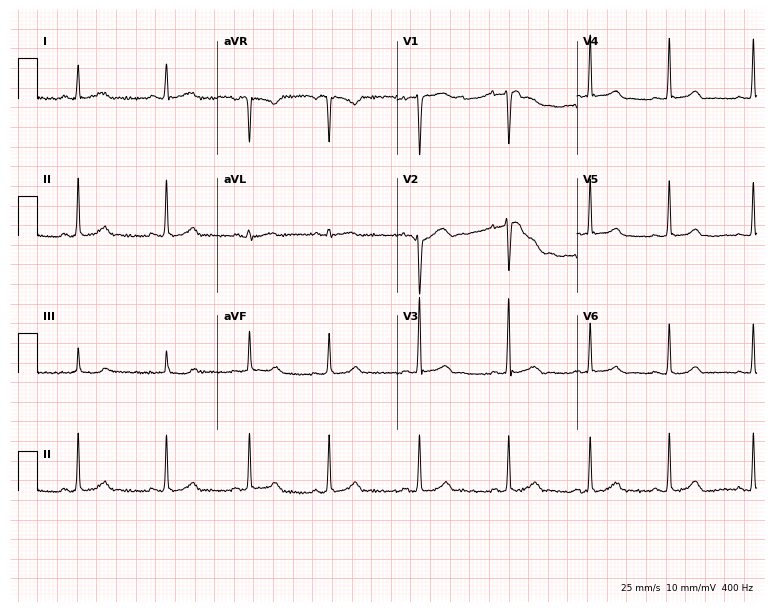
Resting 12-lead electrocardiogram (7.3-second recording at 400 Hz). Patient: a female, 50 years old. None of these six findings is recorded: first-degree AV block, right bundle branch block (RBBB), left bundle branch block (LBBB), sinus bradycardia, atrial fibrillation (AF), sinus tachycardia. Other findings, if any, are not listed.